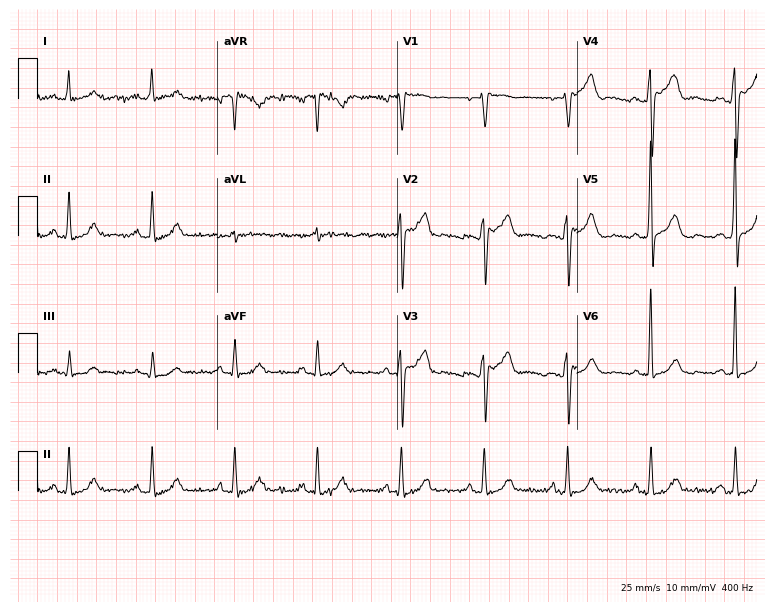
Standard 12-lead ECG recorded from a 64-year-old male patient. Read as a normal ECG.